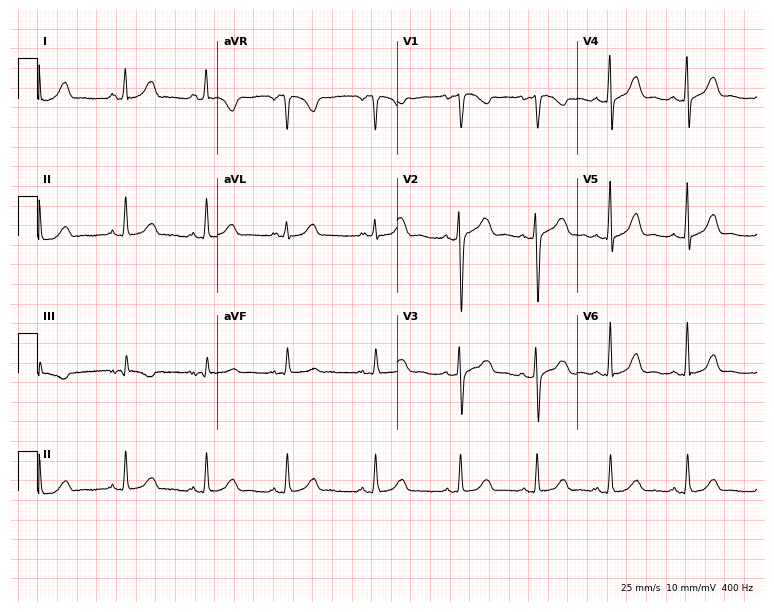
12-lead ECG from a 33-year-old female. Screened for six findings — first-degree AV block, right bundle branch block (RBBB), left bundle branch block (LBBB), sinus bradycardia, atrial fibrillation (AF), sinus tachycardia — none is recorded. Other findings, if any, are not listed.